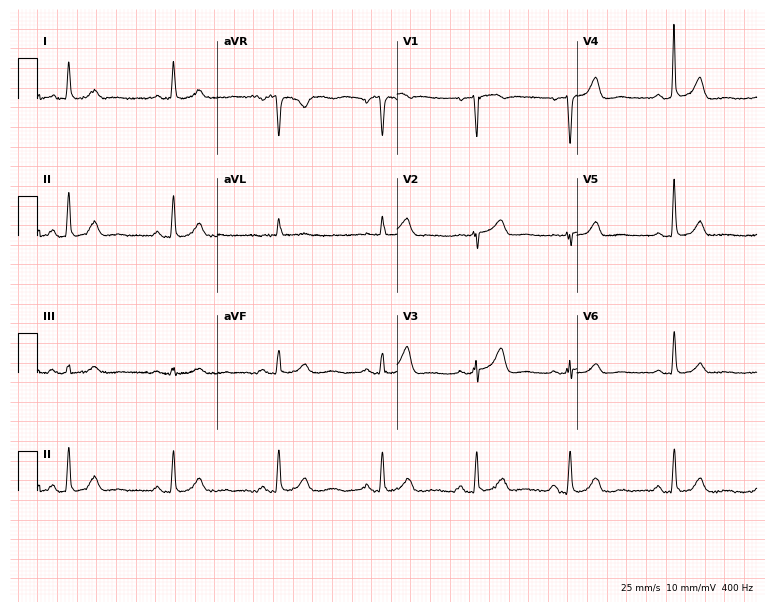
12-lead ECG from a female patient, 63 years old. Screened for six findings — first-degree AV block, right bundle branch block, left bundle branch block, sinus bradycardia, atrial fibrillation, sinus tachycardia — none is recorded. Other findings, if any, are not listed.